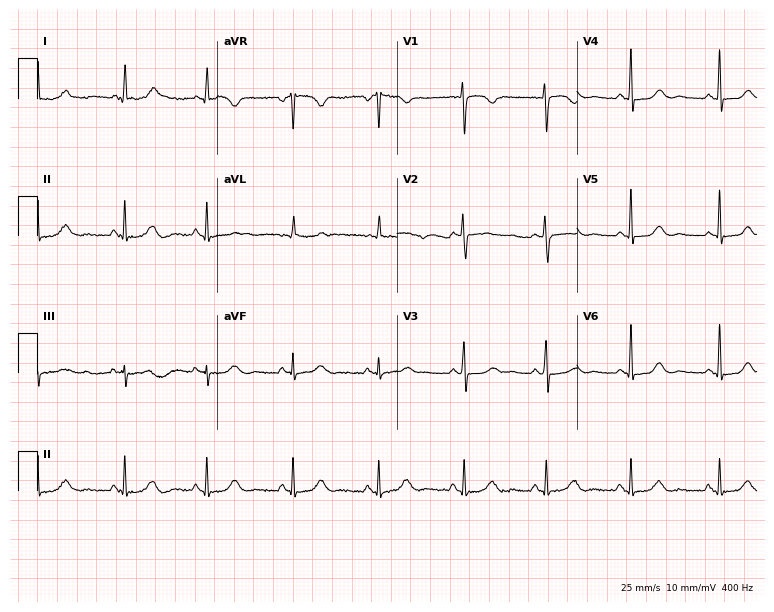
Resting 12-lead electrocardiogram (7.3-second recording at 400 Hz). Patient: a 50-year-old female. None of these six findings is recorded: first-degree AV block, right bundle branch block (RBBB), left bundle branch block (LBBB), sinus bradycardia, atrial fibrillation (AF), sinus tachycardia.